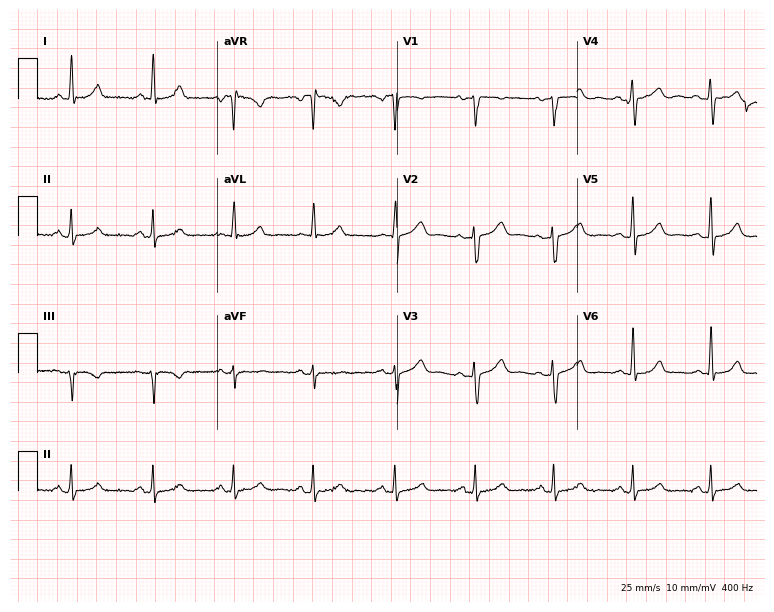
ECG (7.3-second recording at 400 Hz) — a female patient, 46 years old. Labelled as a normal ECG.